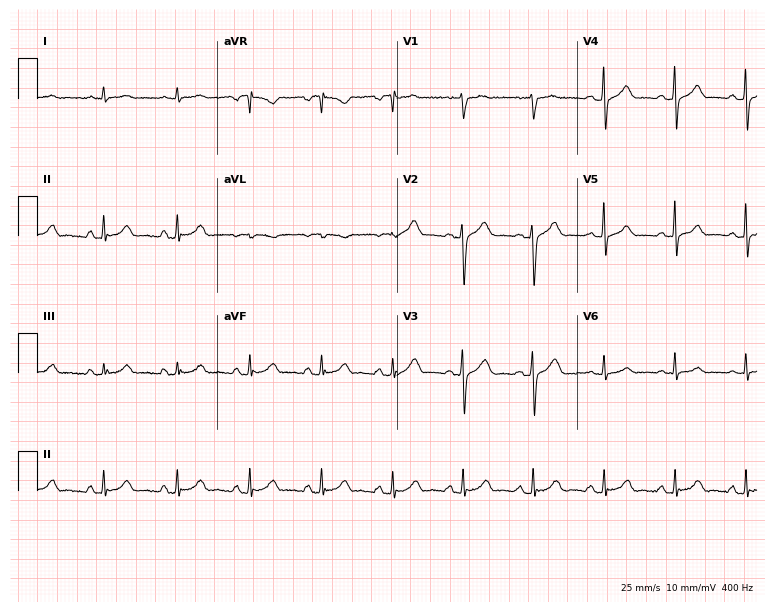
Resting 12-lead electrocardiogram. Patient: a man, 69 years old. Read as a normal ECG.